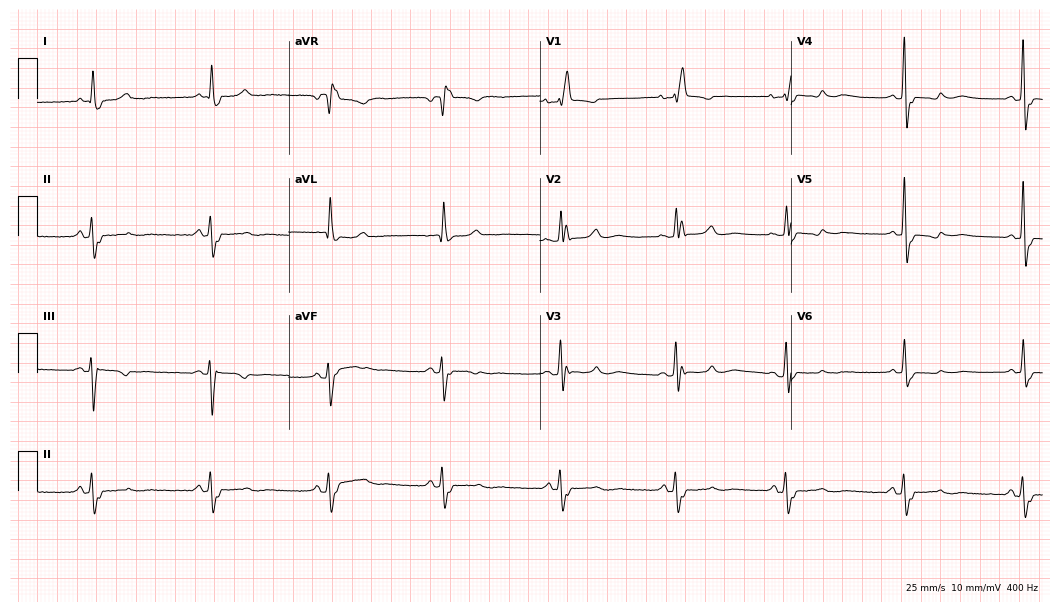
Resting 12-lead electrocardiogram (10.2-second recording at 400 Hz). Patient: an 87-year-old female. None of these six findings is recorded: first-degree AV block, right bundle branch block, left bundle branch block, sinus bradycardia, atrial fibrillation, sinus tachycardia.